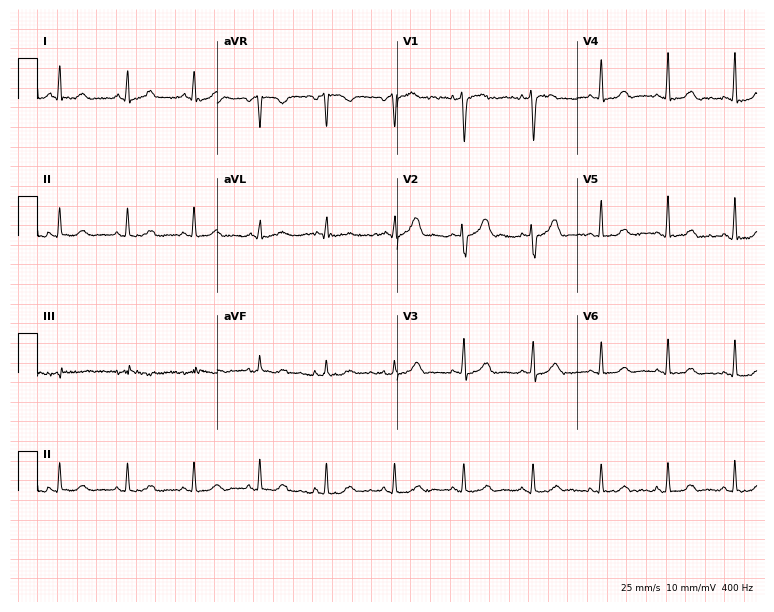
12-lead ECG from a female patient, 53 years old (7.3-second recording at 400 Hz). Recorded interpretation: within normal limits.